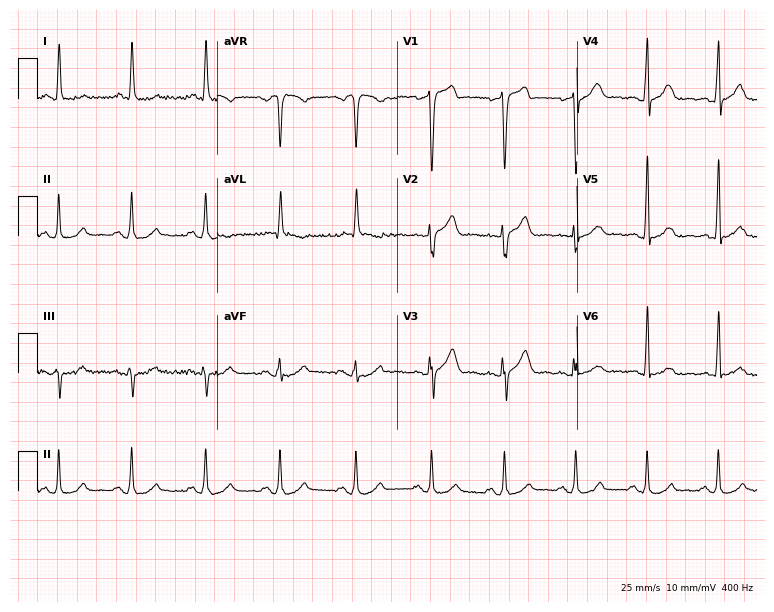
12-lead ECG from a 55-year-old man (7.3-second recording at 400 Hz). No first-degree AV block, right bundle branch block (RBBB), left bundle branch block (LBBB), sinus bradycardia, atrial fibrillation (AF) or sinus tachycardia recorded for this tracing. Findings outside these six are not listed.